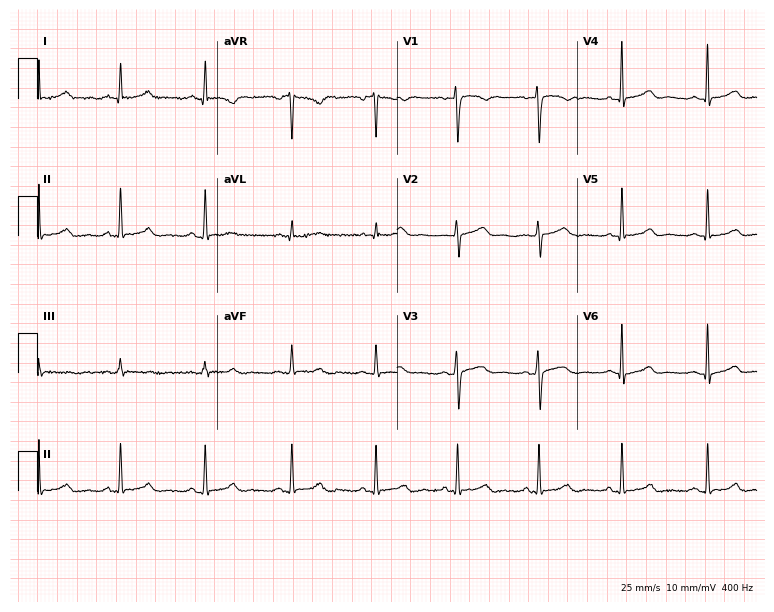
Electrocardiogram (7.3-second recording at 400 Hz), a 37-year-old female patient. Overall reading on record: normal ECG.